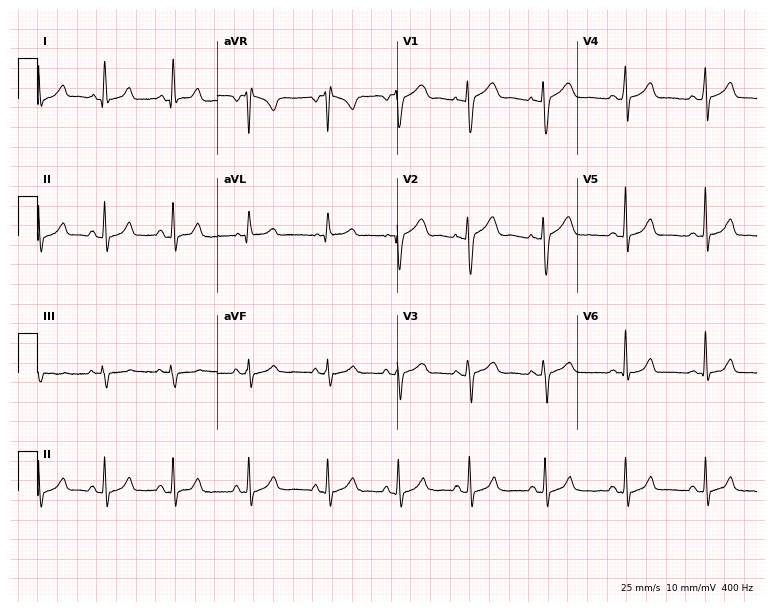
12-lead ECG from a female patient, 21 years old. No first-degree AV block, right bundle branch block, left bundle branch block, sinus bradycardia, atrial fibrillation or sinus tachycardia recorded for this tracing. Only these six findings were labelled.